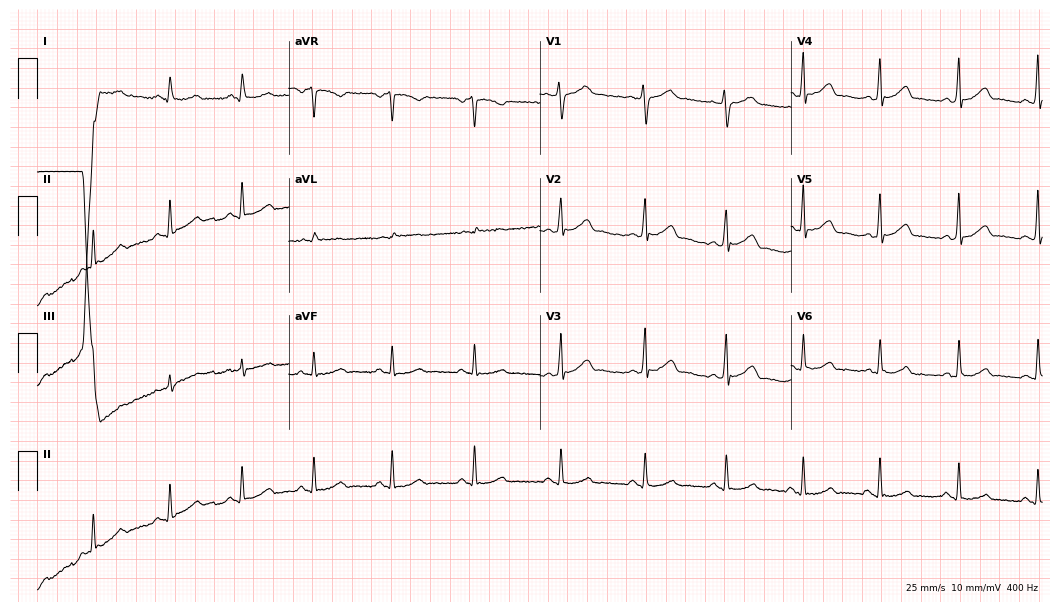
12-lead ECG from a male, 37 years old. Labelled as a normal ECG.